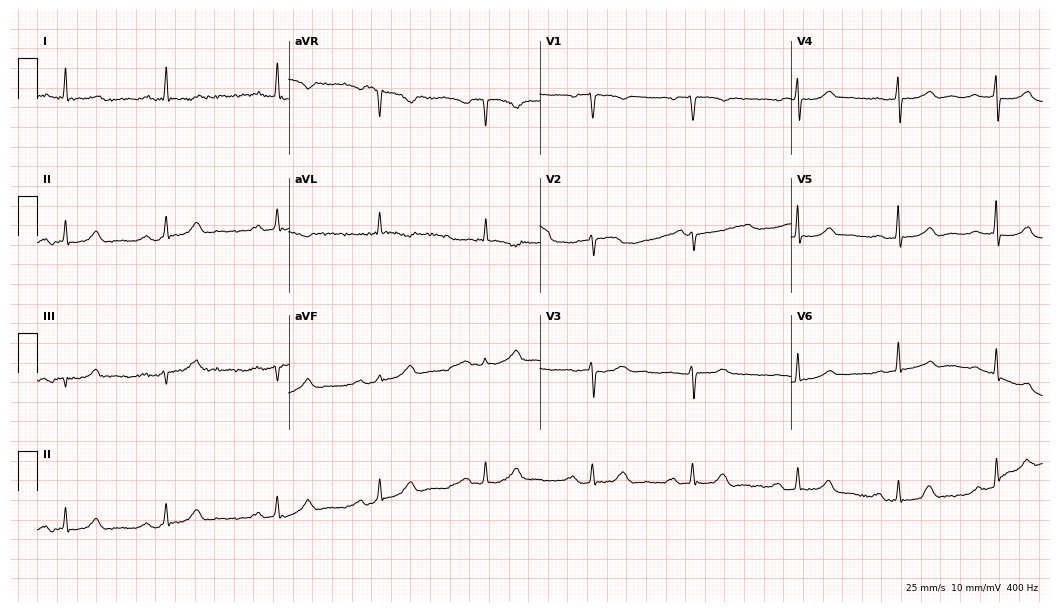
Resting 12-lead electrocardiogram. Patient: a 64-year-old female. The tracing shows first-degree AV block.